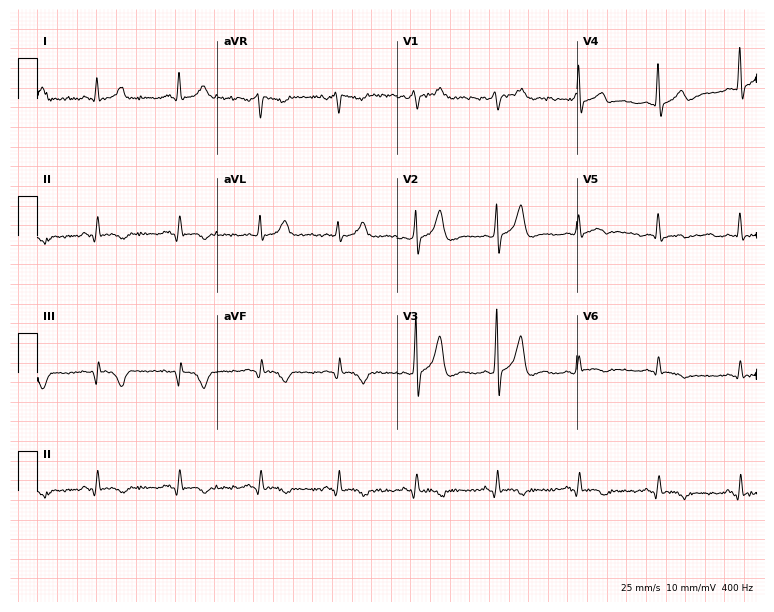
Standard 12-lead ECG recorded from a male, 41 years old (7.3-second recording at 400 Hz). None of these six findings is recorded: first-degree AV block, right bundle branch block (RBBB), left bundle branch block (LBBB), sinus bradycardia, atrial fibrillation (AF), sinus tachycardia.